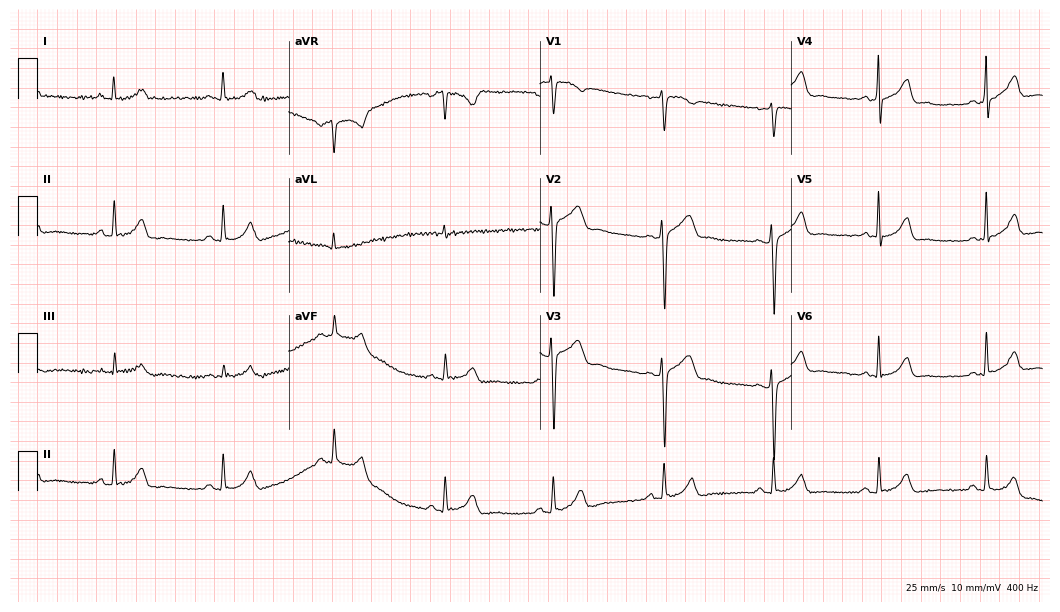
Standard 12-lead ECG recorded from a male, 44 years old. Read as a normal ECG.